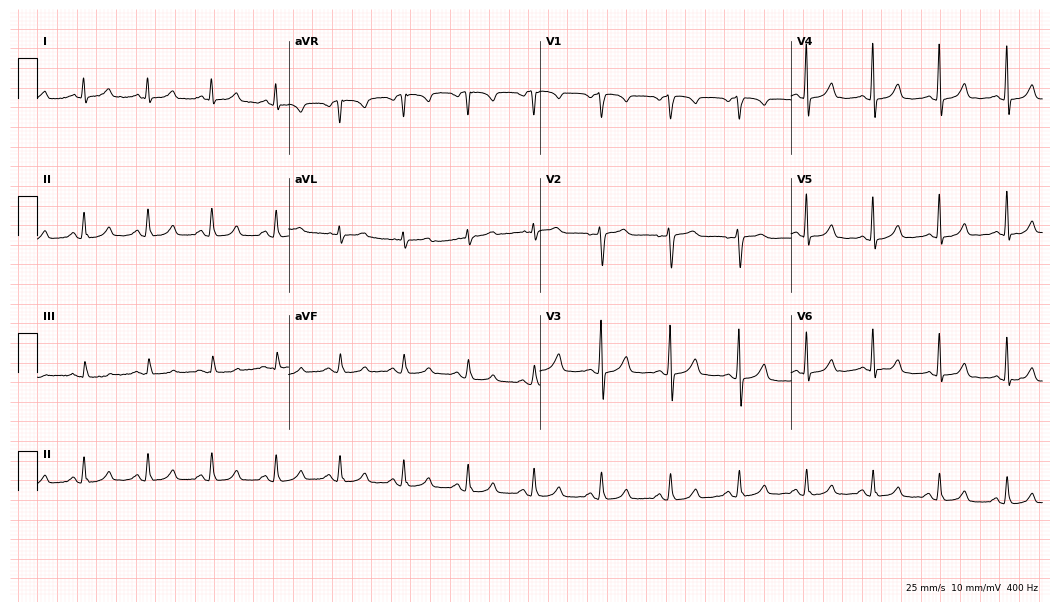
ECG (10.2-second recording at 400 Hz) — a woman, 35 years old. Labelled as a normal ECG.